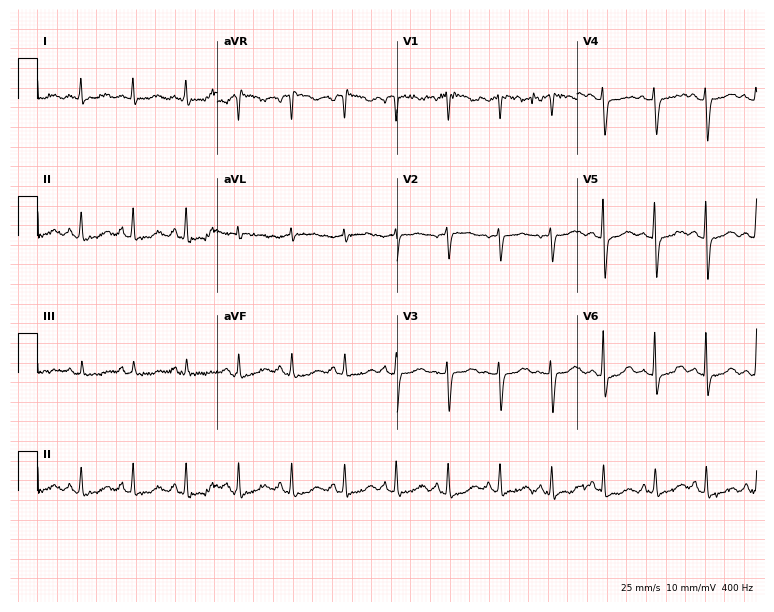
Resting 12-lead electrocardiogram (7.3-second recording at 400 Hz). Patient: a 65-year-old woman. The tracing shows sinus tachycardia (a sinus rate of 100 beats per minute or more).